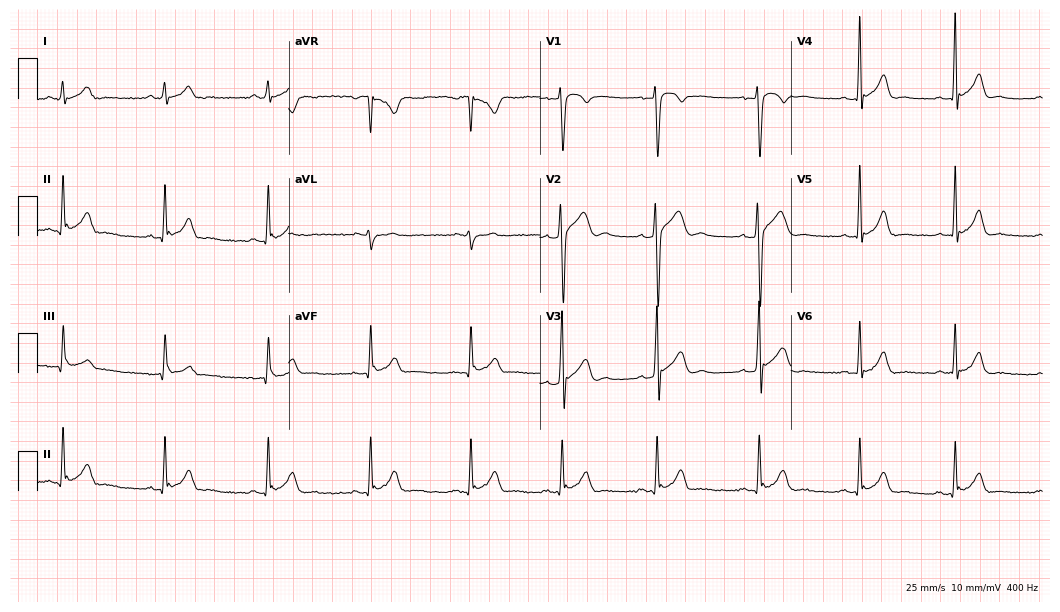
Resting 12-lead electrocardiogram. Patient: a male, 19 years old. Read as a normal ECG.